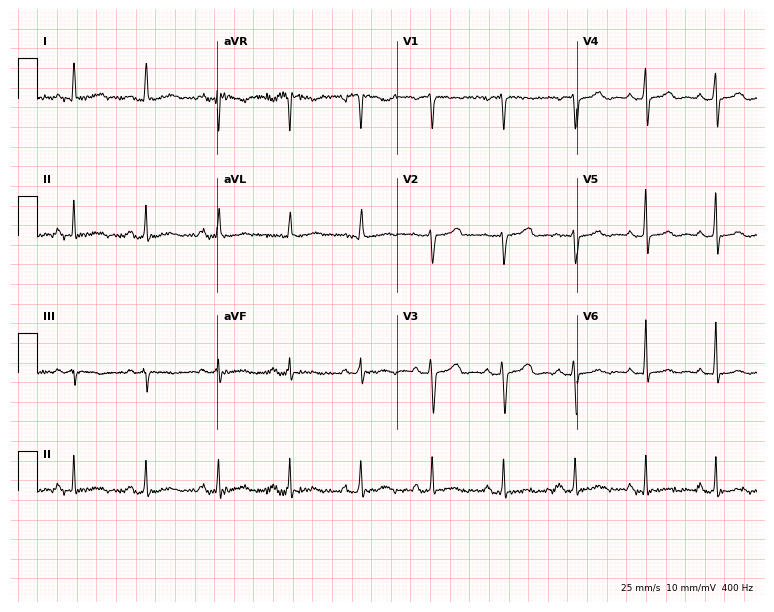
12-lead ECG (7.3-second recording at 400 Hz) from a woman, 48 years old. Screened for six findings — first-degree AV block, right bundle branch block, left bundle branch block, sinus bradycardia, atrial fibrillation, sinus tachycardia — none is recorded. Only these six findings were labelled.